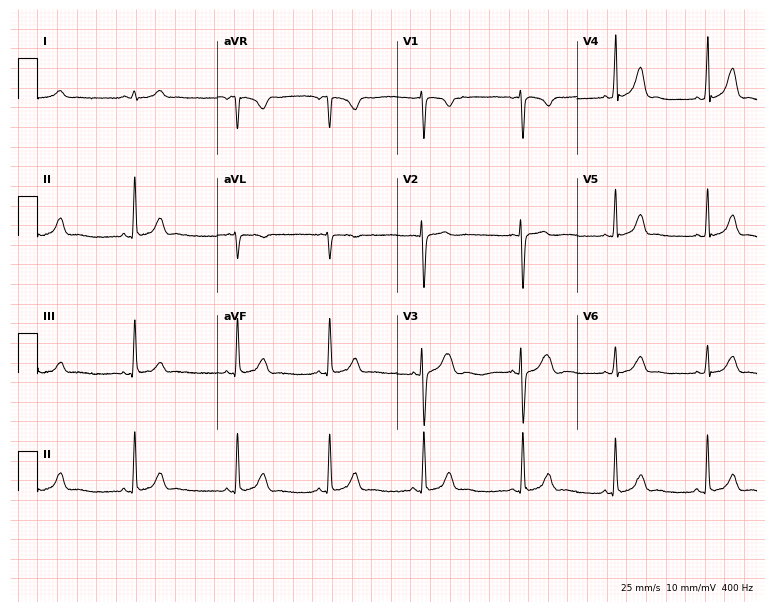
Standard 12-lead ECG recorded from a female patient, 22 years old (7.3-second recording at 400 Hz). None of these six findings is recorded: first-degree AV block, right bundle branch block, left bundle branch block, sinus bradycardia, atrial fibrillation, sinus tachycardia. Only these six findings were labelled.